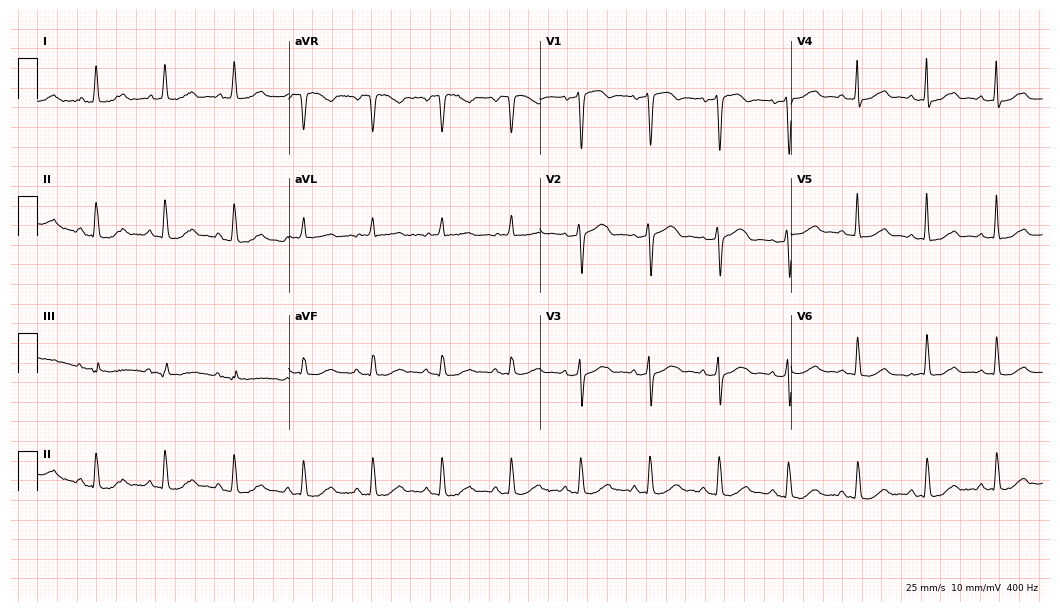
ECG — a 75-year-old female patient. Screened for six findings — first-degree AV block, right bundle branch block (RBBB), left bundle branch block (LBBB), sinus bradycardia, atrial fibrillation (AF), sinus tachycardia — none is recorded. Findings outside these six are not listed.